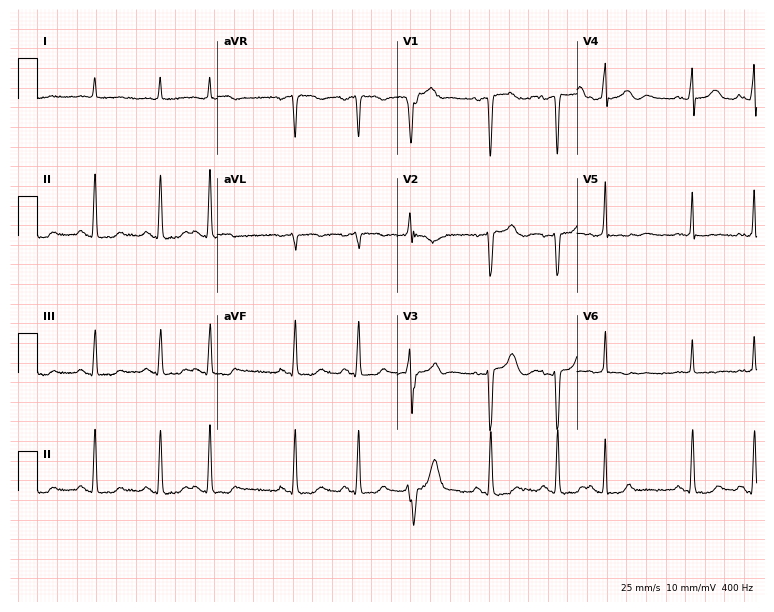
Electrocardiogram, a woman, 80 years old. Overall reading on record: normal ECG.